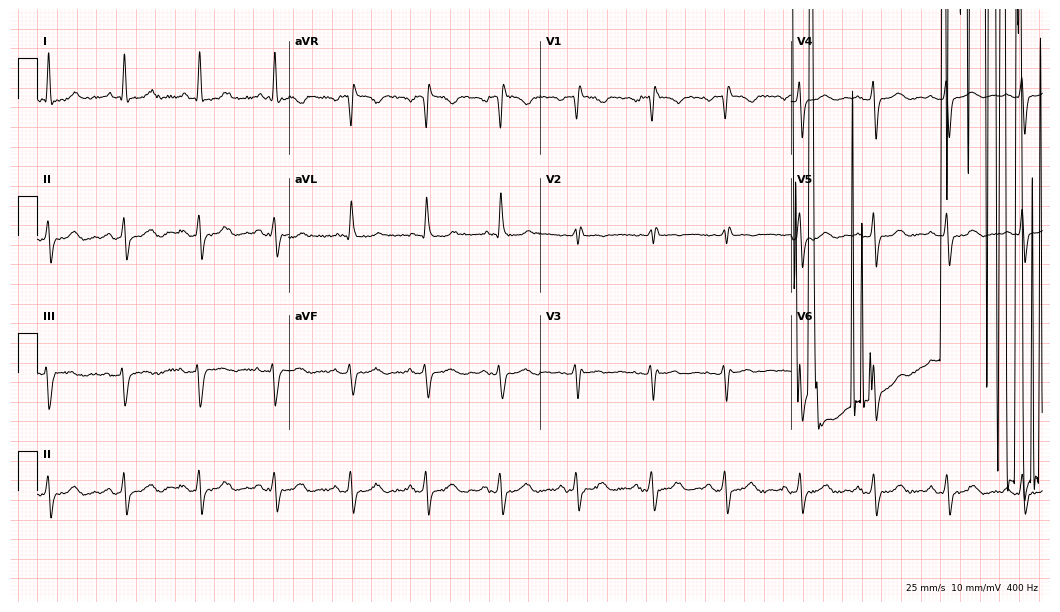
12-lead ECG (10.2-second recording at 400 Hz) from a female, 54 years old. Screened for six findings — first-degree AV block, right bundle branch block, left bundle branch block, sinus bradycardia, atrial fibrillation, sinus tachycardia — none is recorded. Only these six findings were labelled.